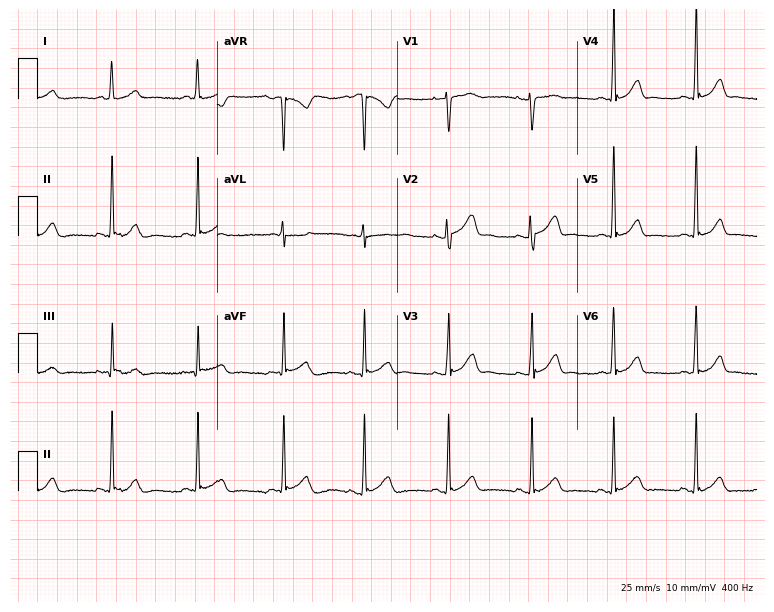
Resting 12-lead electrocardiogram (7.3-second recording at 400 Hz). Patient: a female, 28 years old. Read as a normal ECG.